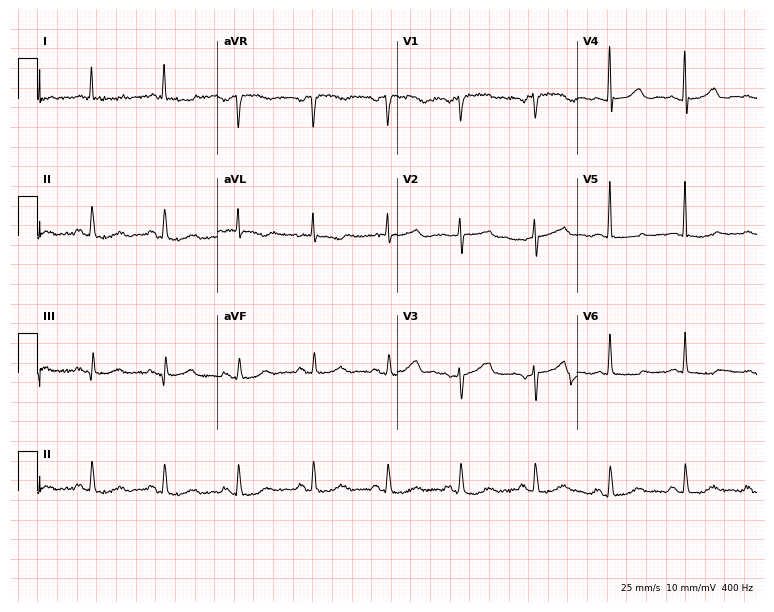
Resting 12-lead electrocardiogram (7.3-second recording at 400 Hz). Patient: an 82-year-old female. None of these six findings is recorded: first-degree AV block, right bundle branch block, left bundle branch block, sinus bradycardia, atrial fibrillation, sinus tachycardia. Only these six findings were labelled.